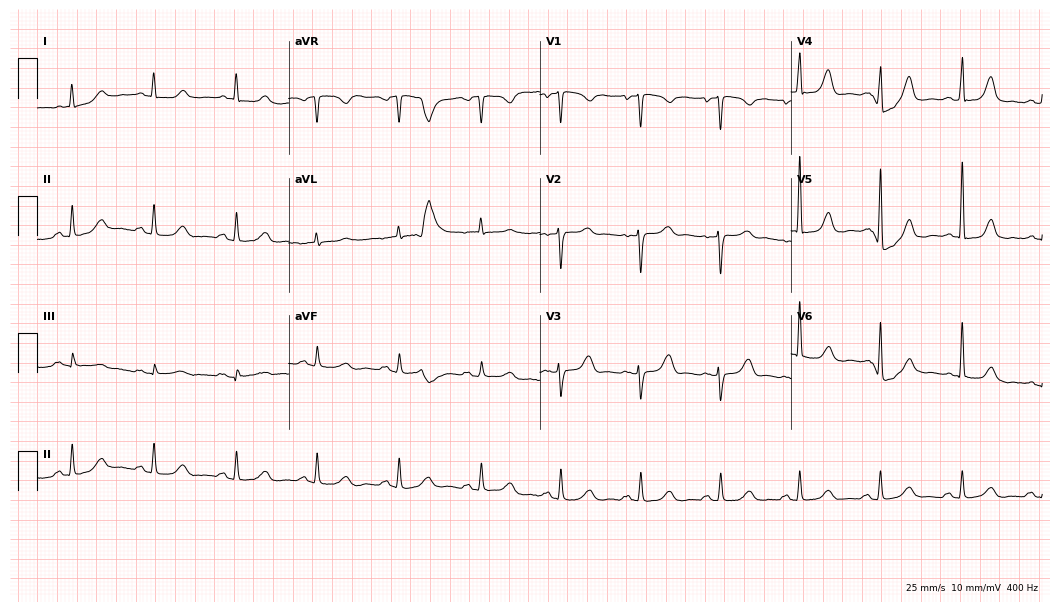
Electrocardiogram, an 80-year-old female patient. Of the six screened findings (first-degree AV block, right bundle branch block, left bundle branch block, sinus bradycardia, atrial fibrillation, sinus tachycardia), none is recorded.